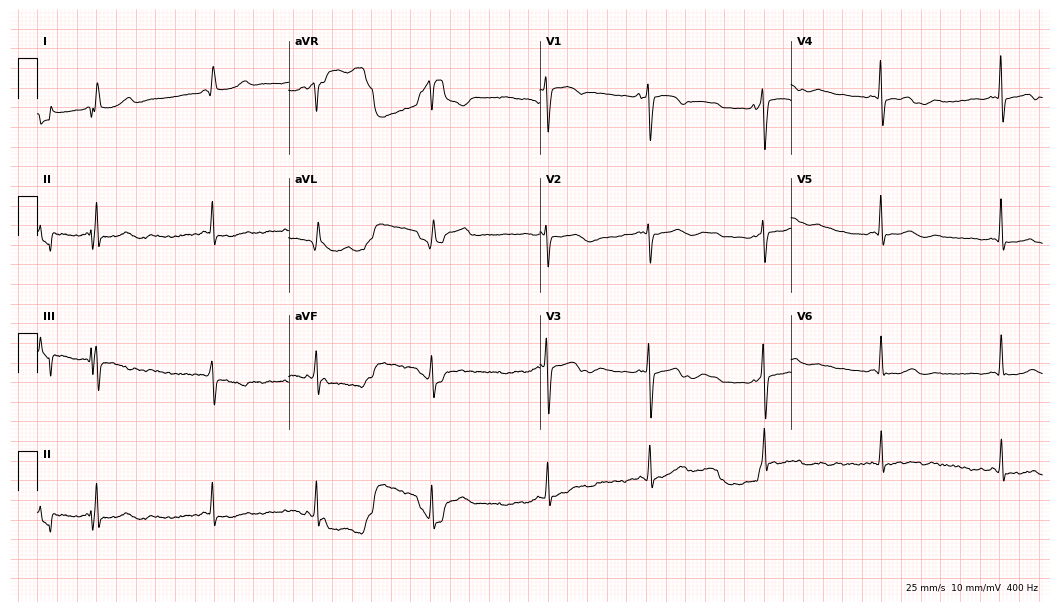
12-lead ECG (10.2-second recording at 400 Hz) from a woman, 35 years old. Screened for six findings — first-degree AV block, right bundle branch block, left bundle branch block, sinus bradycardia, atrial fibrillation, sinus tachycardia — none is recorded.